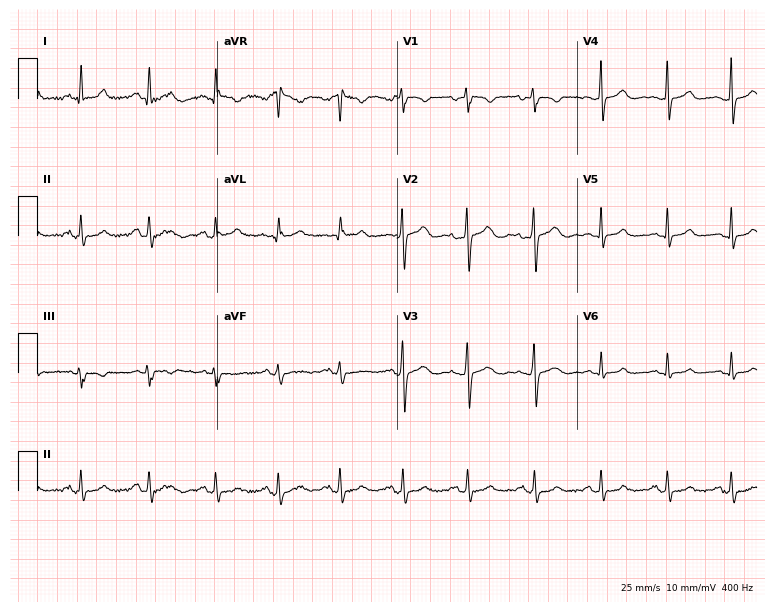
Electrocardiogram, a woman, 37 years old. Overall reading on record: normal ECG.